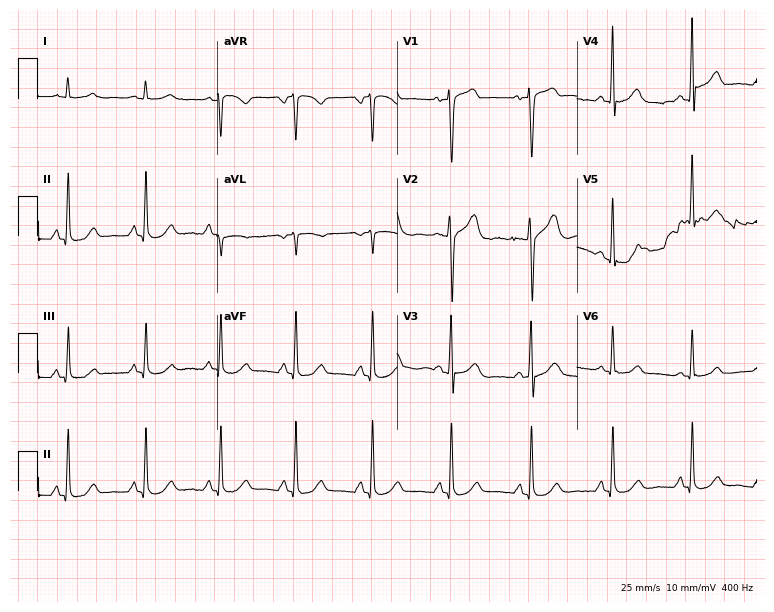
ECG — a 53-year-old man. Labelled as a normal ECG.